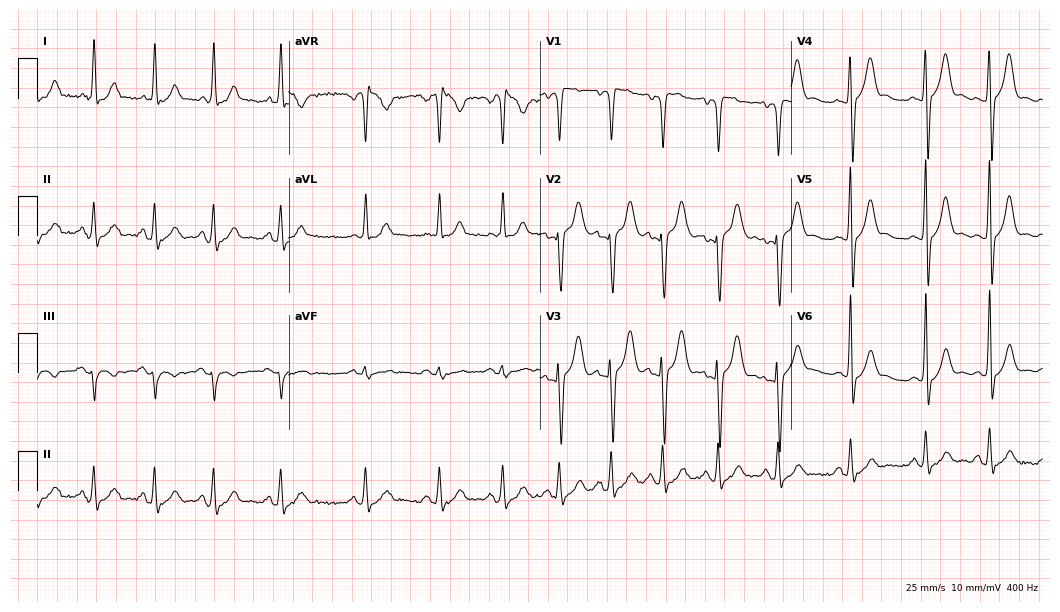
12-lead ECG from a male, 18 years old. Recorded interpretation: within normal limits.